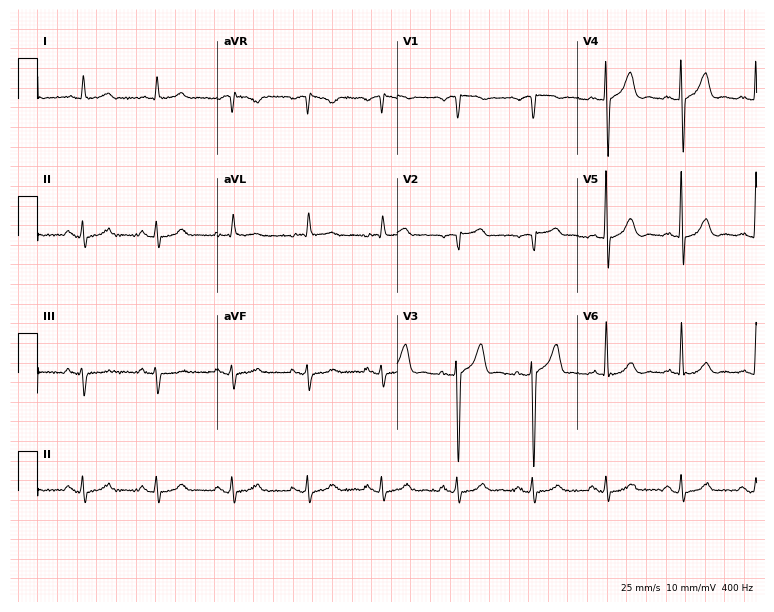
12-lead ECG from a male patient, 80 years old (7.3-second recording at 400 Hz). Recorded interpretation: within normal limits.